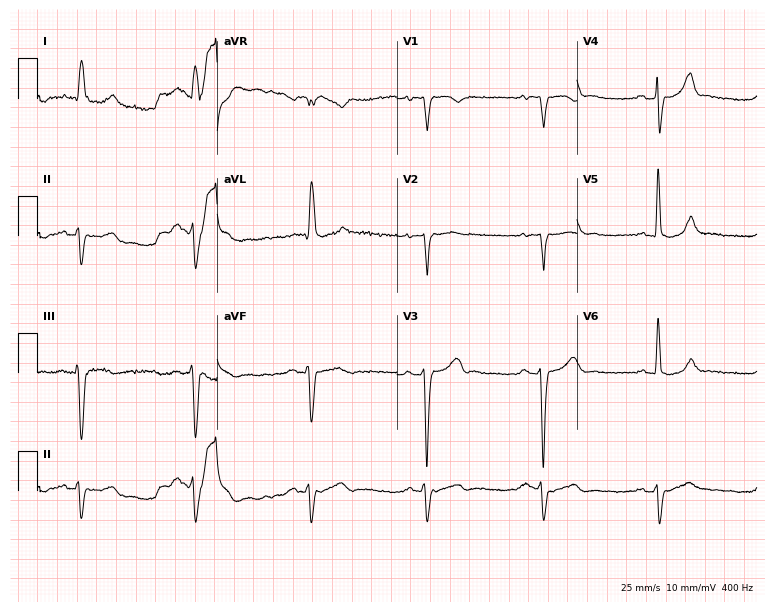
12-lead ECG from an 81-year-old male patient (7.3-second recording at 400 Hz). No first-degree AV block, right bundle branch block (RBBB), left bundle branch block (LBBB), sinus bradycardia, atrial fibrillation (AF) or sinus tachycardia recorded for this tracing.